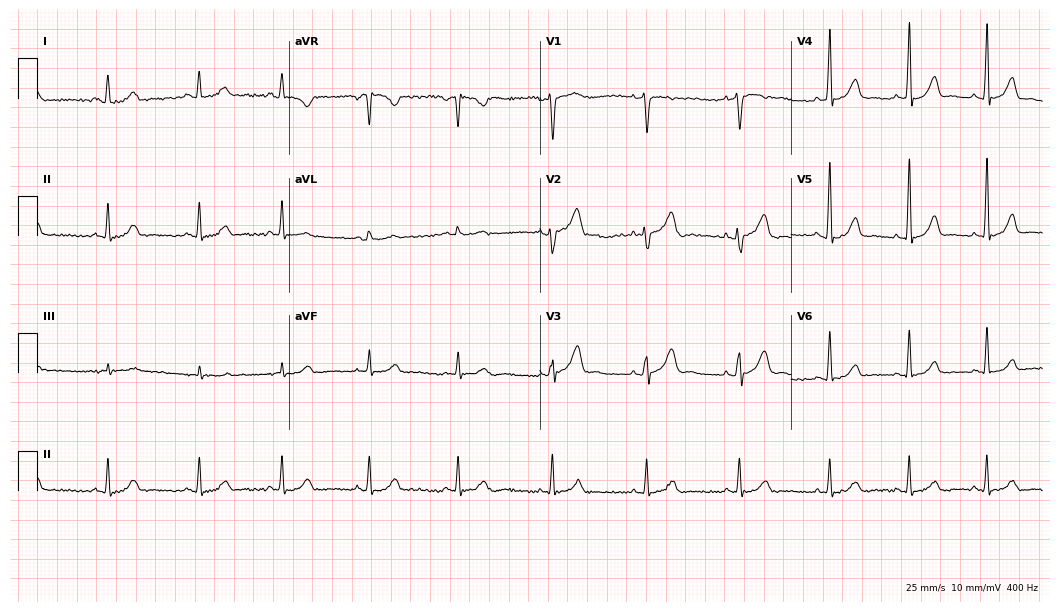
Resting 12-lead electrocardiogram (10.2-second recording at 400 Hz). Patient: a 29-year-old woman. Read as a normal ECG.